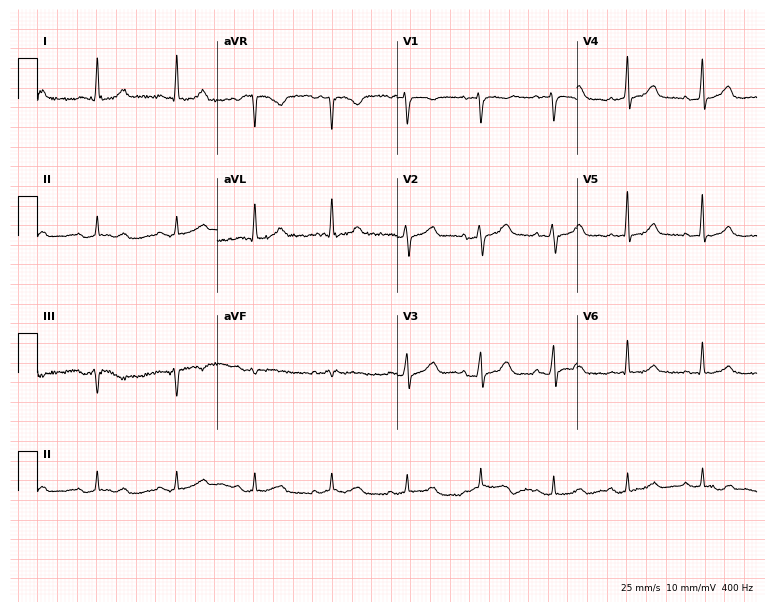
Resting 12-lead electrocardiogram (7.3-second recording at 400 Hz). Patient: a woman, 61 years old. None of these six findings is recorded: first-degree AV block, right bundle branch block, left bundle branch block, sinus bradycardia, atrial fibrillation, sinus tachycardia. Findings outside these six are not listed.